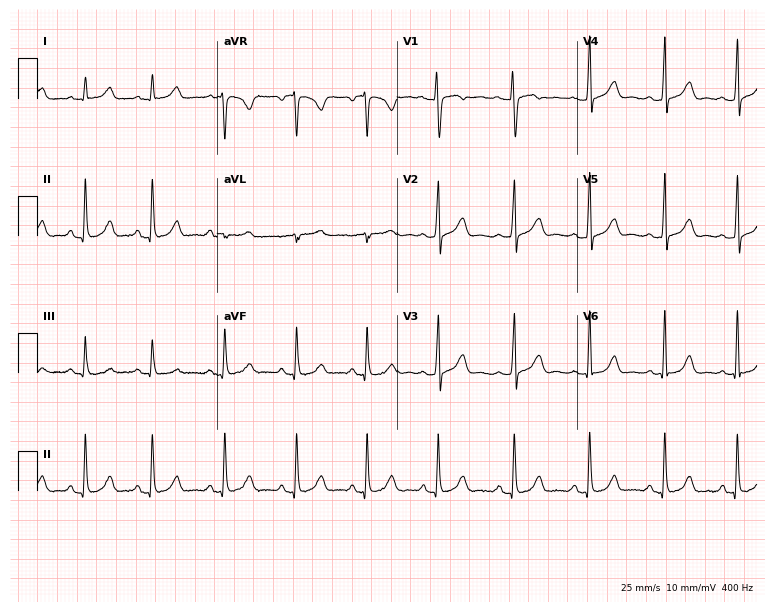
Electrocardiogram, a 37-year-old female patient. Overall reading on record: normal ECG.